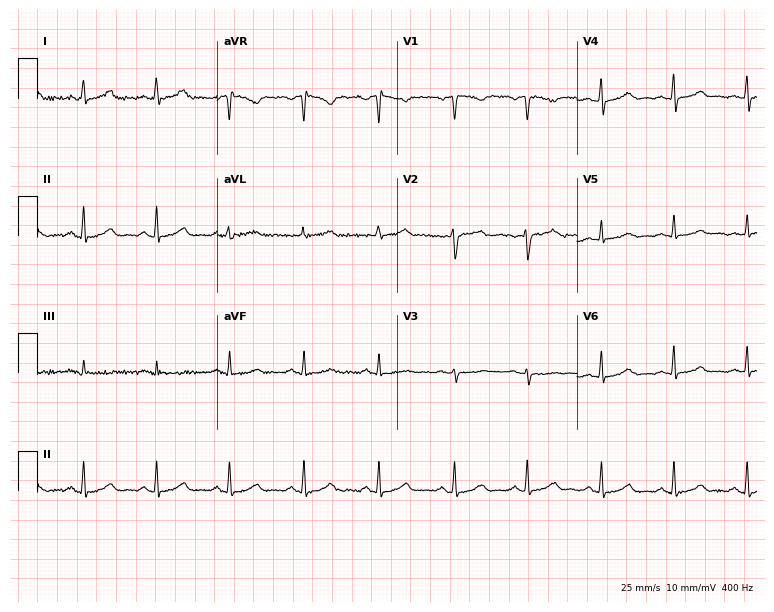
Electrocardiogram, a female, 41 years old. Overall reading on record: normal ECG.